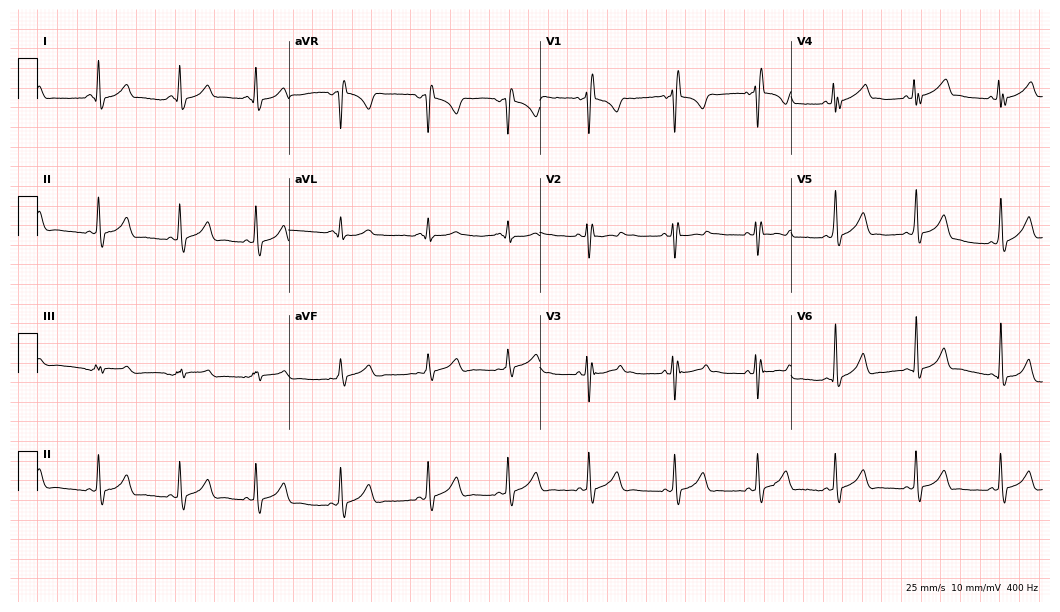
12-lead ECG from a woman, 18 years old (10.2-second recording at 400 Hz). No first-degree AV block, right bundle branch block, left bundle branch block, sinus bradycardia, atrial fibrillation or sinus tachycardia recorded for this tracing. Other findings, if any, are not listed.